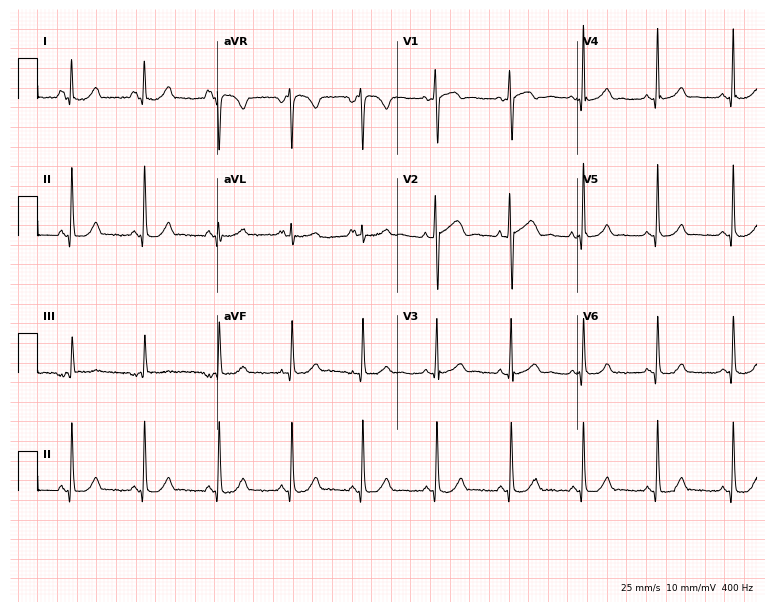
12-lead ECG from a female, 28 years old. Screened for six findings — first-degree AV block, right bundle branch block, left bundle branch block, sinus bradycardia, atrial fibrillation, sinus tachycardia — none is recorded.